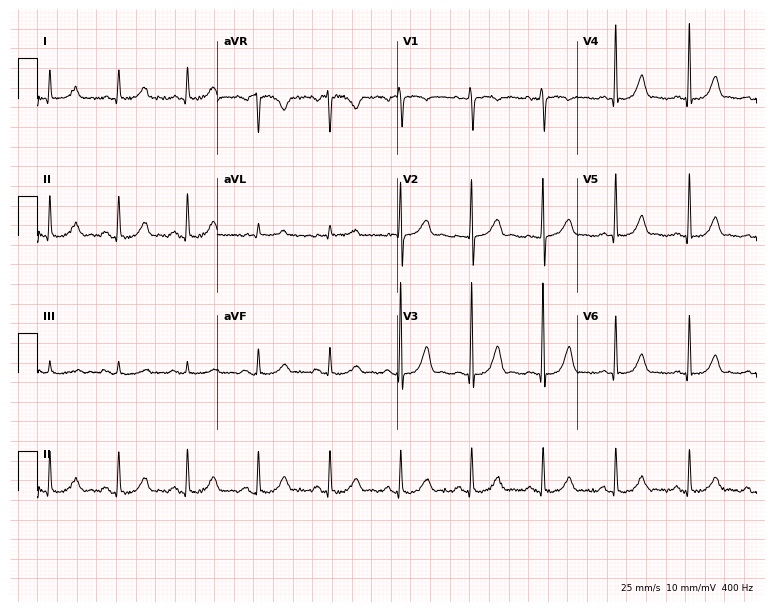
12-lead ECG from a 51-year-old female patient. No first-degree AV block, right bundle branch block, left bundle branch block, sinus bradycardia, atrial fibrillation or sinus tachycardia recorded for this tracing.